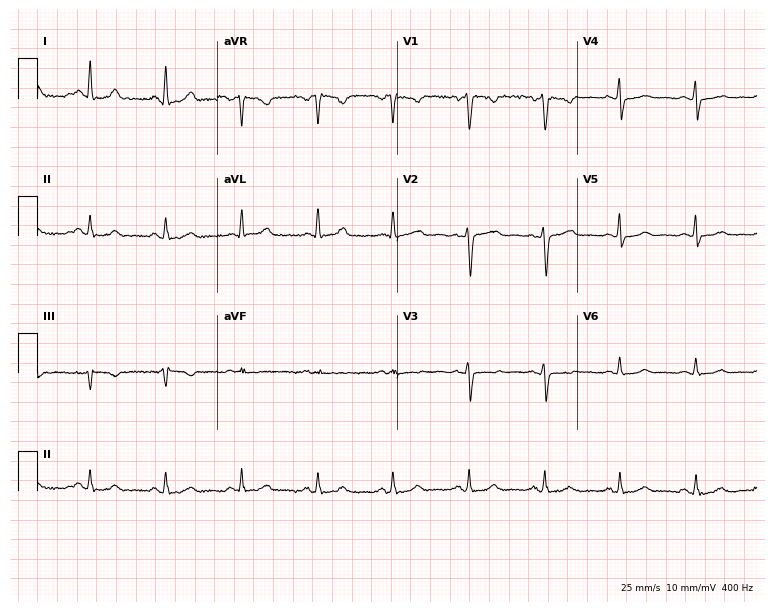
12-lead ECG (7.3-second recording at 400 Hz) from a 47-year-old woman. Labelled as a normal ECG.